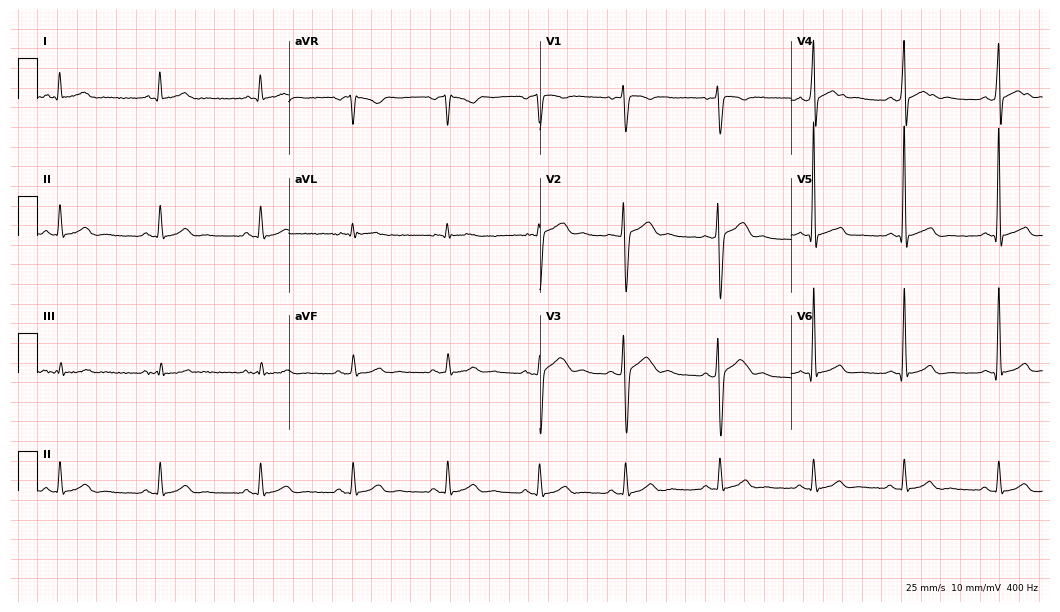
ECG (10.2-second recording at 400 Hz) — a 31-year-old male patient. Screened for six findings — first-degree AV block, right bundle branch block (RBBB), left bundle branch block (LBBB), sinus bradycardia, atrial fibrillation (AF), sinus tachycardia — none is recorded.